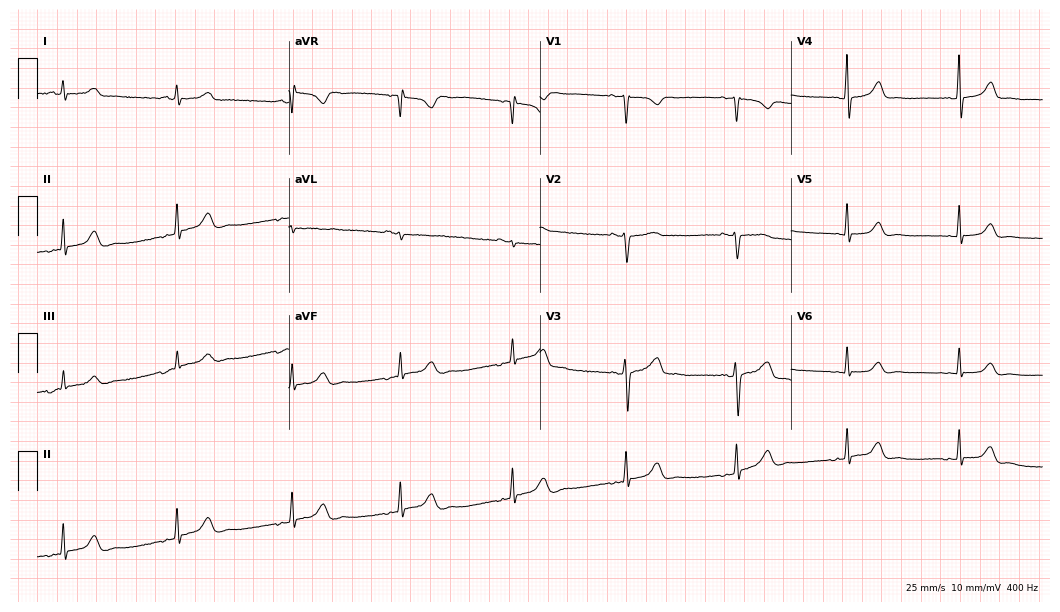
Electrocardiogram (10.2-second recording at 400 Hz), a 44-year-old woman. Of the six screened findings (first-degree AV block, right bundle branch block (RBBB), left bundle branch block (LBBB), sinus bradycardia, atrial fibrillation (AF), sinus tachycardia), none is recorded. Findings outside these six are not listed.